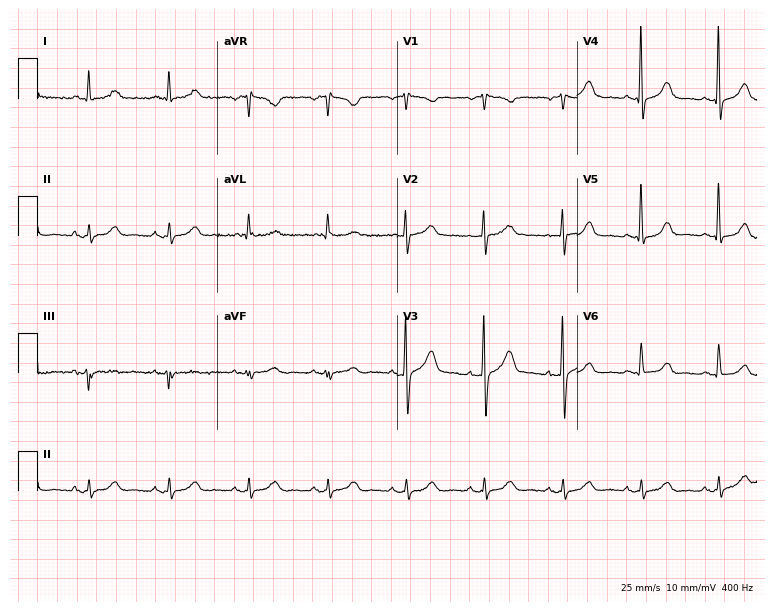
Standard 12-lead ECG recorded from a female, 80 years old (7.3-second recording at 400 Hz). None of these six findings is recorded: first-degree AV block, right bundle branch block (RBBB), left bundle branch block (LBBB), sinus bradycardia, atrial fibrillation (AF), sinus tachycardia. Only these six findings were labelled.